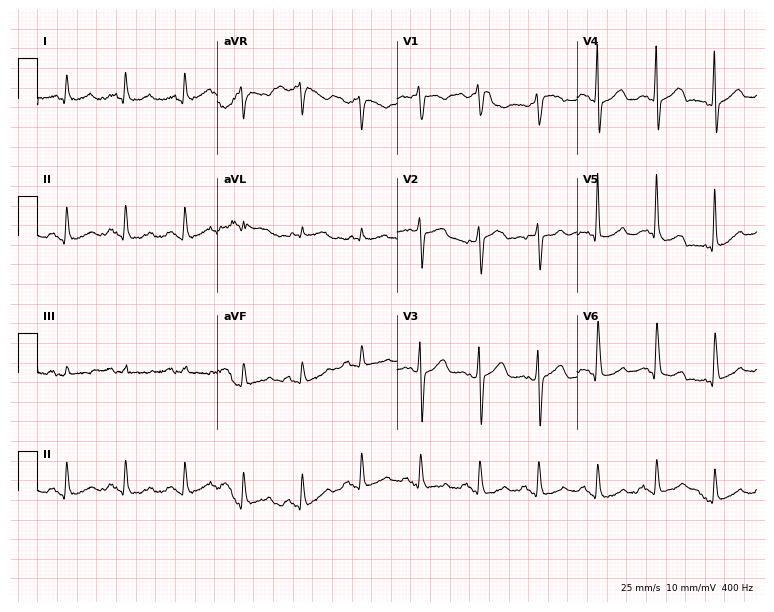
ECG — a 77-year-old male patient. Screened for six findings — first-degree AV block, right bundle branch block, left bundle branch block, sinus bradycardia, atrial fibrillation, sinus tachycardia — none is recorded. Only these six findings were labelled.